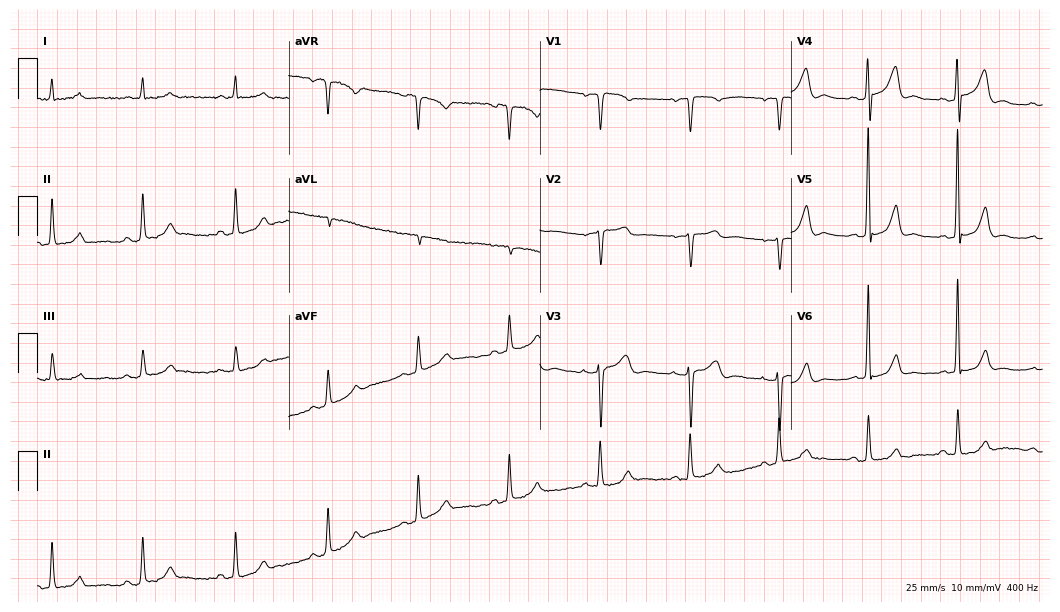
Resting 12-lead electrocardiogram. Patient: a 59-year-old female. None of these six findings is recorded: first-degree AV block, right bundle branch block, left bundle branch block, sinus bradycardia, atrial fibrillation, sinus tachycardia. Only these six findings were labelled.